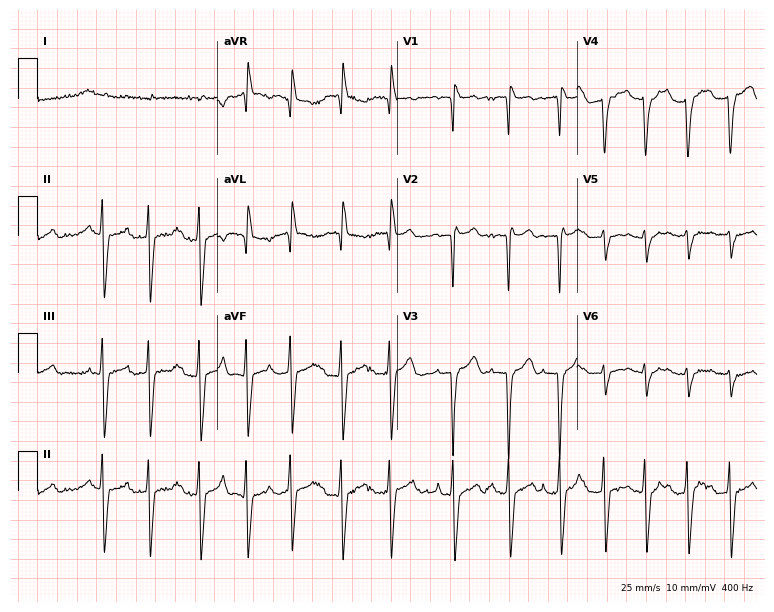
ECG — a male patient, 81 years old. Findings include sinus tachycardia (a sinus rate of 100 beats per minute or more).